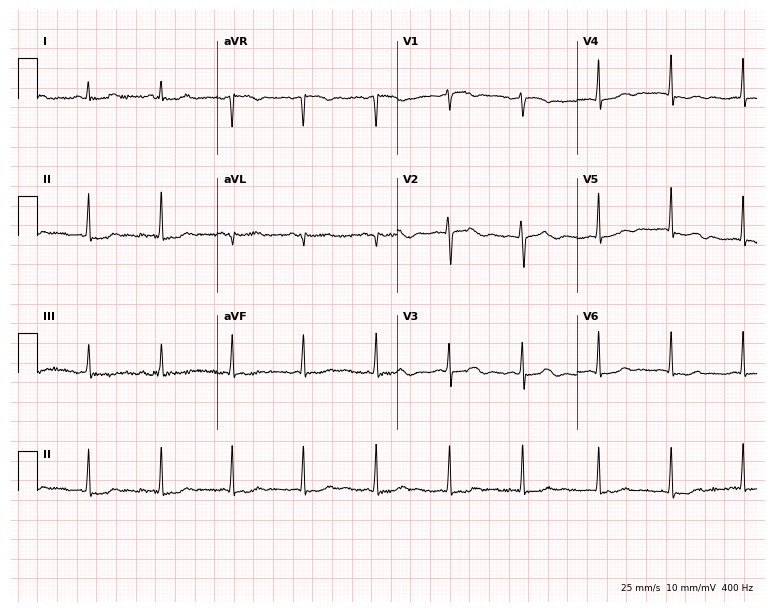
12-lead ECG from a female patient, 44 years old (7.3-second recording at 400 Hz). No first-degree AV block, right bundle branch block (RBBB), left bundle branch block (LBBB), sinus bradycardia, atrial fibrillation (AF) or sinus tachycardia recorded for this tracing.